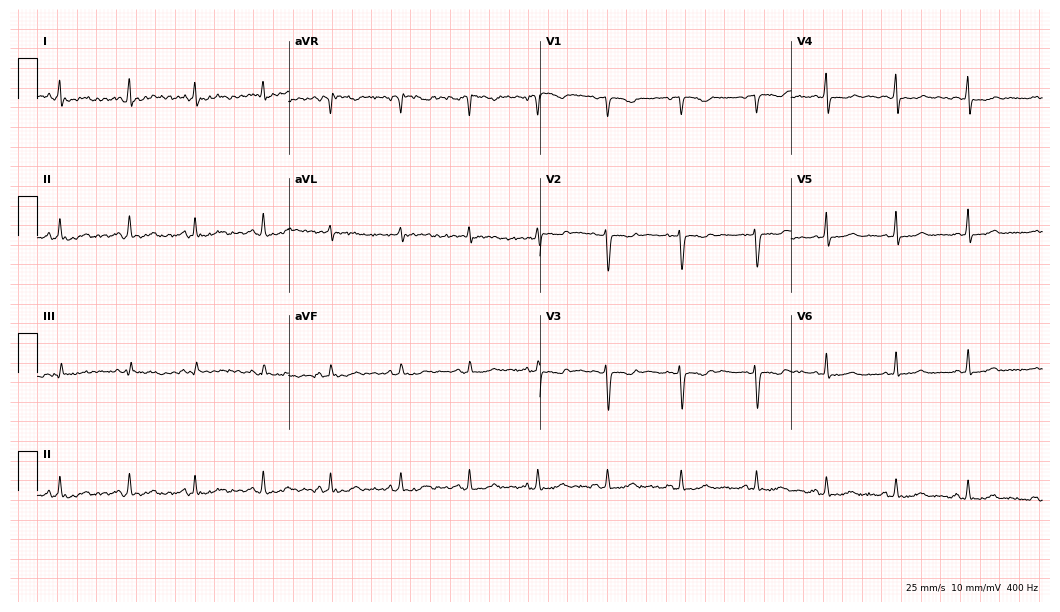
ECG (10.2-second recording at 400 Hz) — a 28-year-old female. Labelled as a normal ECG.